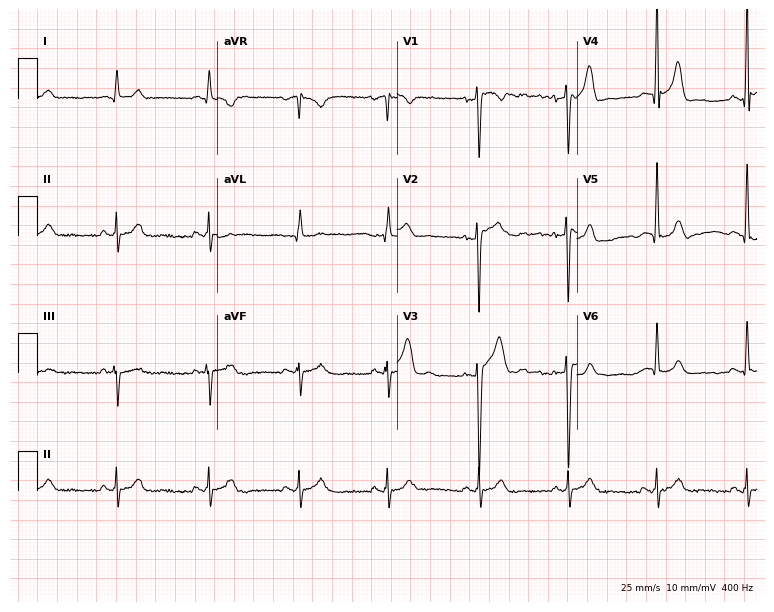
Standard 12-lead ECG recorded from a male, 28 years old. None of these six findings is recorded: first-degree AV block, right bundle branch block (RBBB), left bundle branch block (LBBB), sinus bradycardia, atrial fibrillation (AF), sinus tachycardia. Only these six findings were labelled.